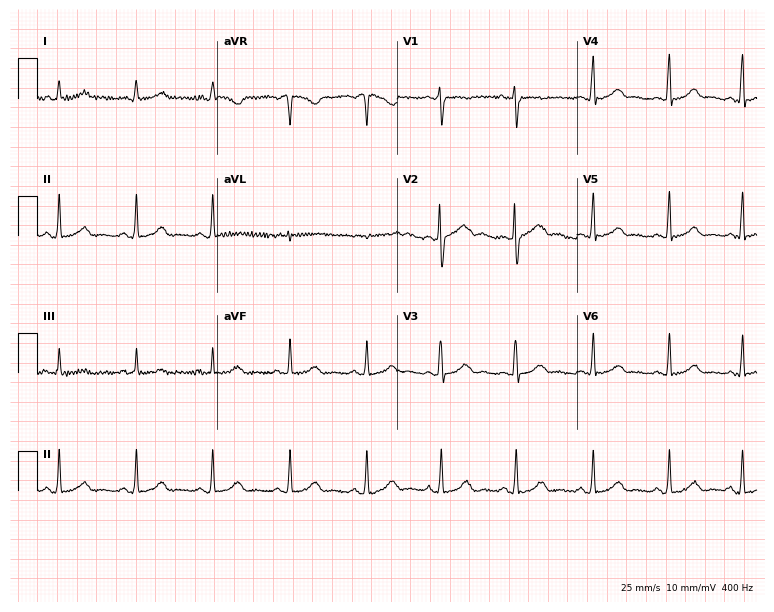
12-lead ECG from a female, 30 years old (7.3-second recording at 400 Hz). No first-degree AV block, right bundle branch block, left bundle branch block, sinus bradycardia, atrial fibrillation or sinus tachycardia recorded for this tracing.